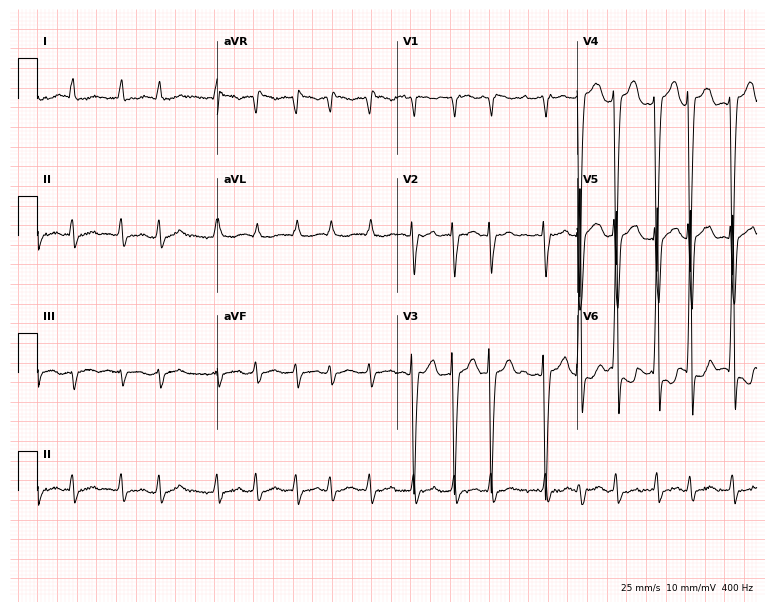
Resting 12-lead electrocardiogram. Patient: an 82-year-old female. The tracing shows atrial fibrillation.